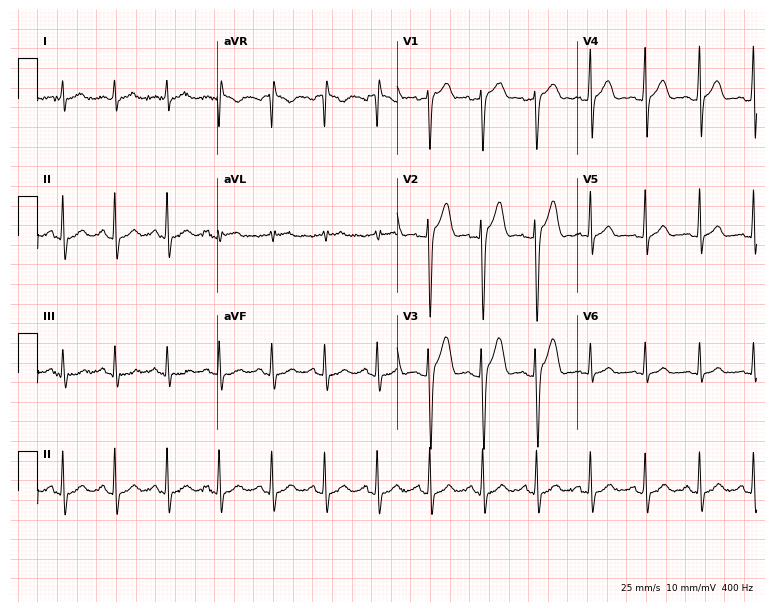
Electrocardiogram, a 21-year-old female patient. Interpretation includes sinus tachycardia (a sinus rate of 100 beats per minute or more).